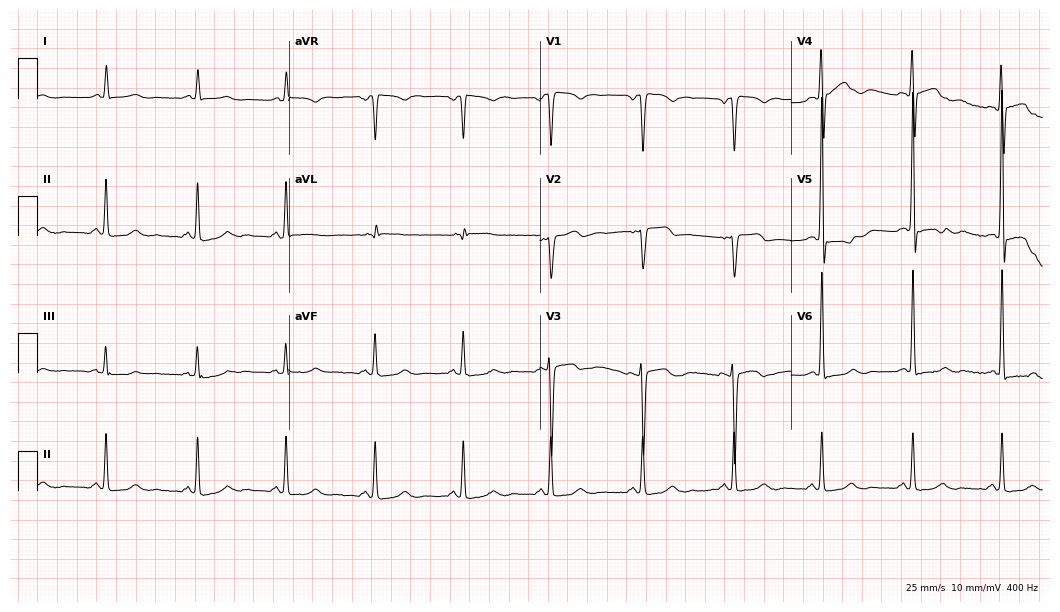
ECG — a man, 45 years old. Screened for six findings — first-degree AV block, right bundle branch block, left bundle branch block, sinus bradycardia, atrial fibrillation, sinus tachycardia — none is recorded.